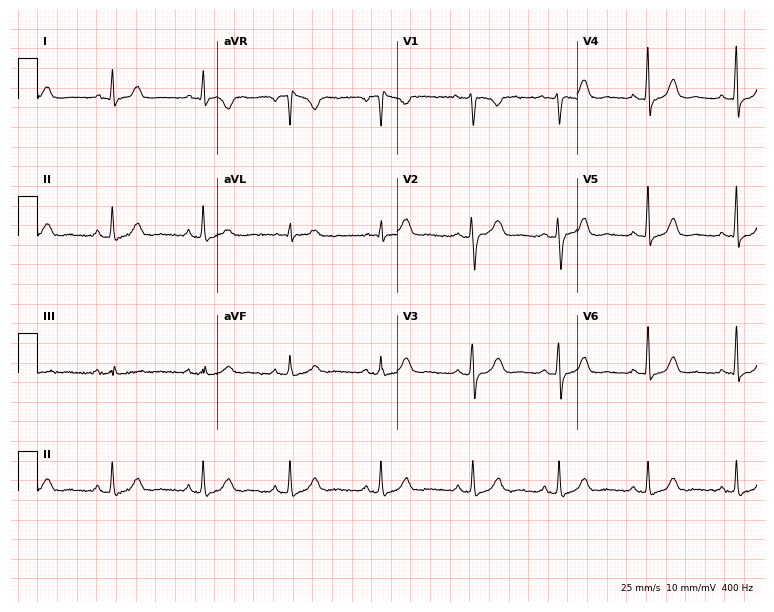
Resting 12-lead electrocardiogram. Patient: a 39-year-old woman. None of these six findings is recorded: first-degree AV block, right bundle branch block, left bundle branch block, sinus bradycardia, atrial fibrillation, sinus tachycardia.